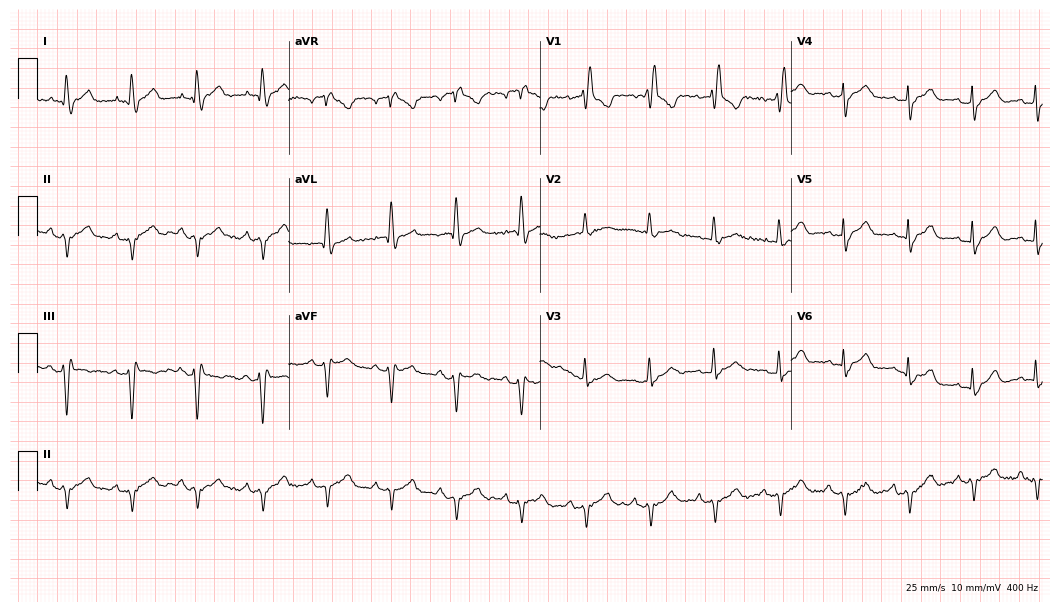
12-lead ECG from a woman, 74 years old (10.2-second recording at 400 Hz). No first-degree AV block, right bundle branch block, left bundle branch block, sinus bradycardia, atrial fibrillation or sinus tachycardia recorded for this tracing.